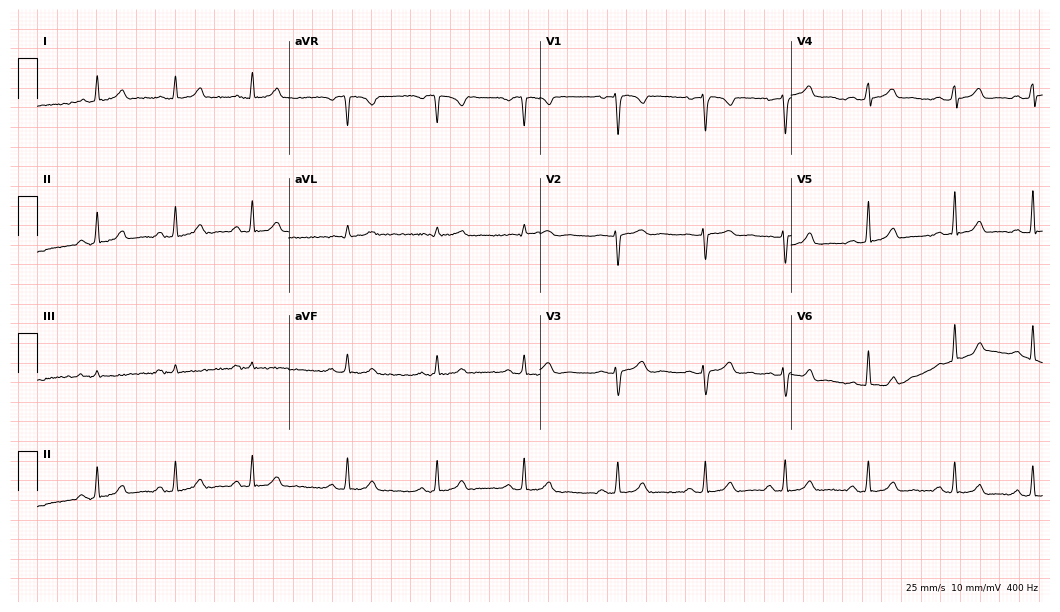
Resting 12-lead electrocardiogram. Patient: a 19-year-old female. Read as a normal ECG.